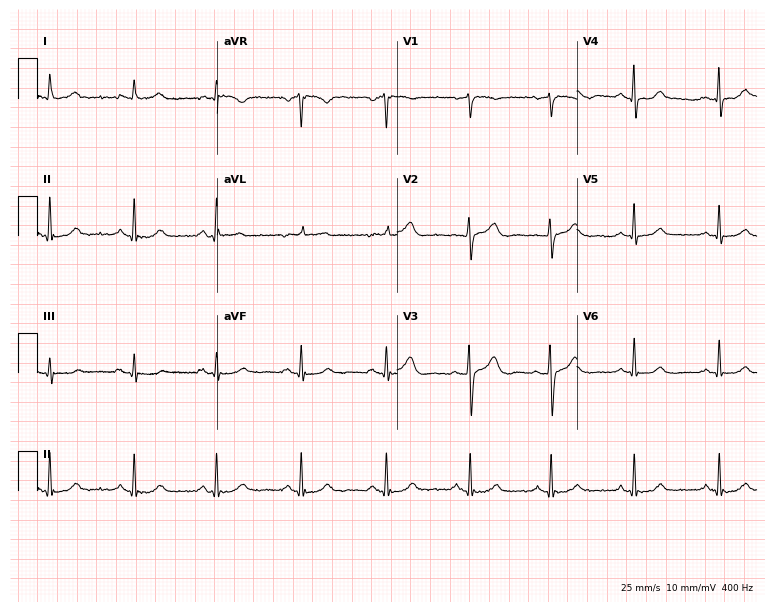
12-lead ECG from a female patient, 58 years old (7.3-second recording at 400 Hz). Recorded interpretation: within normal limits.